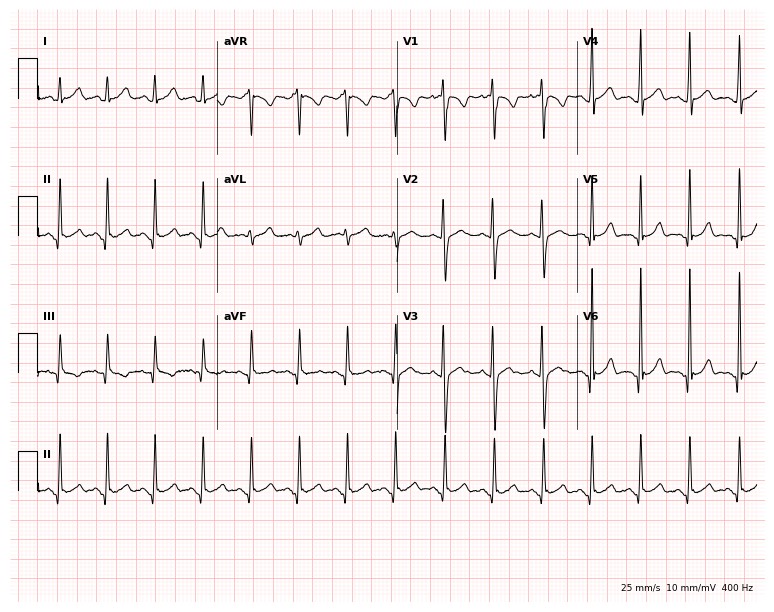
12-lead ECG from a woman, 21 years old (7.3-second recording at 400 Hz). Shows sinus tachycardia (a sinus rate of 100 beats per minute or more).